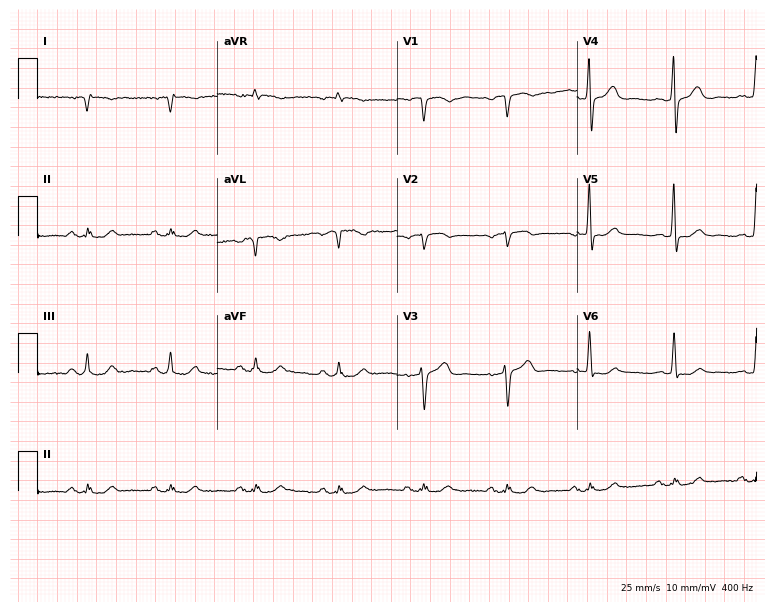
Resting 12-lead electrocardiogram (7.3-second recording at 400 Hz). Patient: a male, 80 years old. None of these six findings is recorded: first-degree AV block, right bundle branch block (RBBB), left bundle branch block (LBBB), sinus bradycardia, atrial fibrillation (AF), sinus tachycardia. Other findings, if any, are not listed.